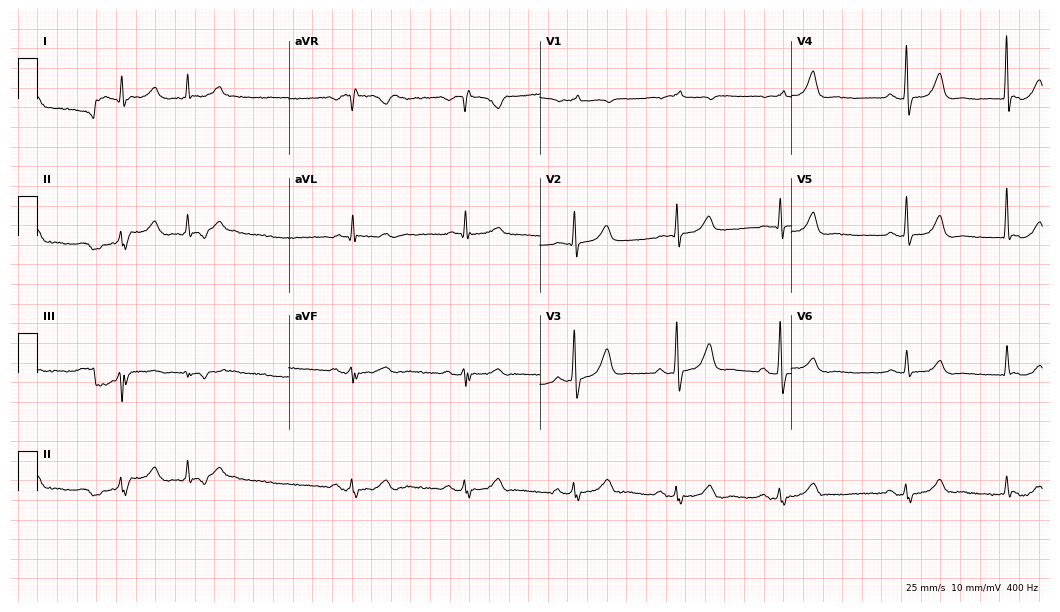
Resting 12-lead electrocardiogram (10.2-second recording at 400 Hz). Patient: a male, 84 years old. None of these six findings is recorded: first-degree AV block, right bundle branch block (RBBB), left bundle branch block (LBBB), sinus bradycardia, atrial fibrillation (AF), sinus tachycardia.